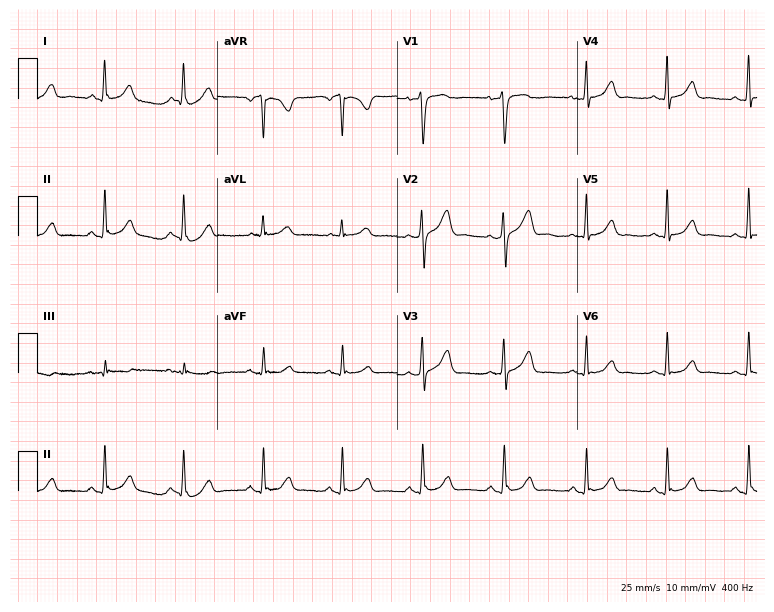
Electrocardiogram, a woman, 56 years old. Overall reading on record: normal ECG.